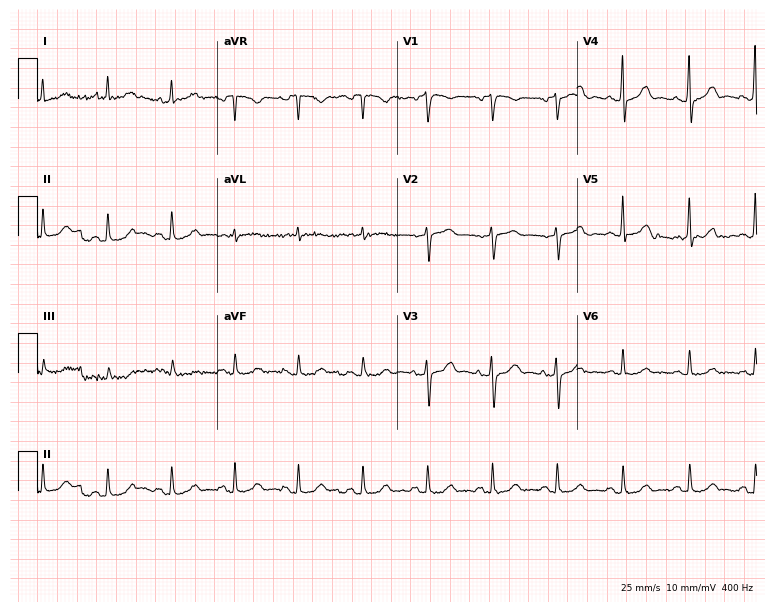
12-lead ECG from a female, 65 years old (7.3-second recording at 400 Hz). Recorded interpretation: within normal limits.